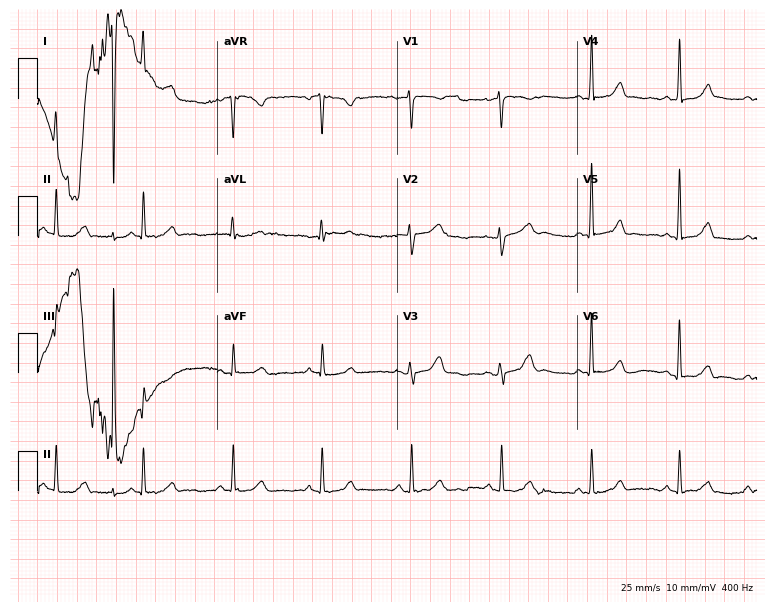
ECG (7.3-second recording at 400 Hz) — a female, 44 years old. Labelled as a normal ECG.